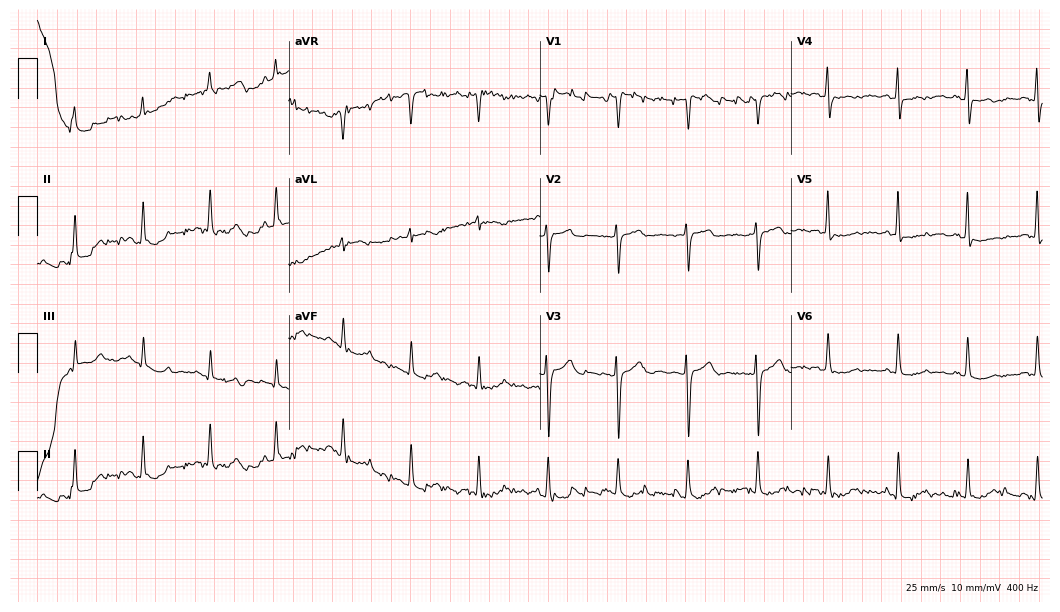
12-lead ECG from a 33-year-old female (10.2-second recording at 400 Hz). No first-degree AV block, right bundle branch block, left bundle branch block, sinus bradycardia, atrial fibrillation or sinus tachycardia recorded for this tracing.